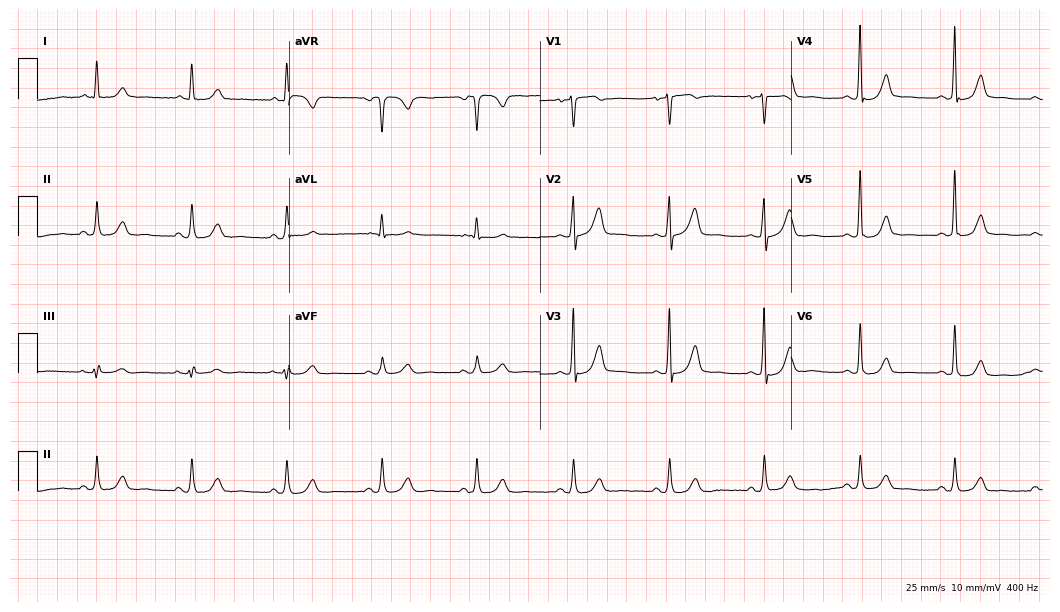
Electrocardiogram, a female patient, 65 years old. Of the six screened findings (first-degree AV block, right bundle branch block, left bundle branch block, sinus bradycardia, atrial fibrillation, sinus tachycardia), none is recorded. Findings outside these six are not listed.